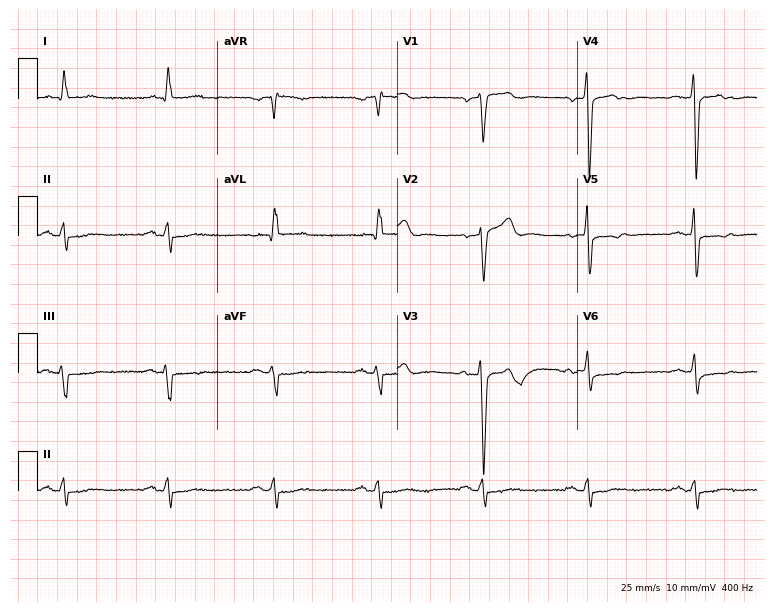
Electrocardiogram (7.3-second recording at 400 Hz), a 64-year-old male. Of the six screened findings (first-degree AV block, right bundle branch block, left bundle branch block, sinus bradycardia, atrial fibrillation, sinus tachycardia), none is recorded.